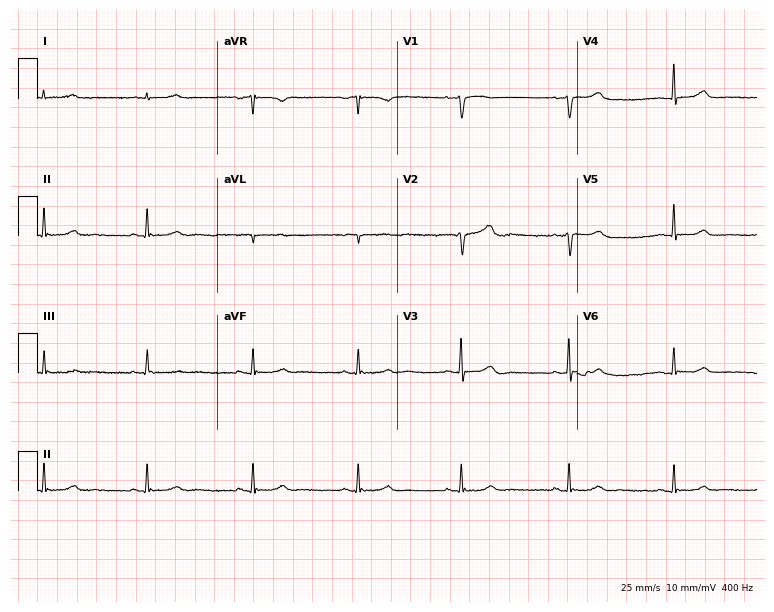
12-lead ECG from a 51-year-old female patient (7.3-second recording at 400 Hz). Recorded interpretation: within normal limits.